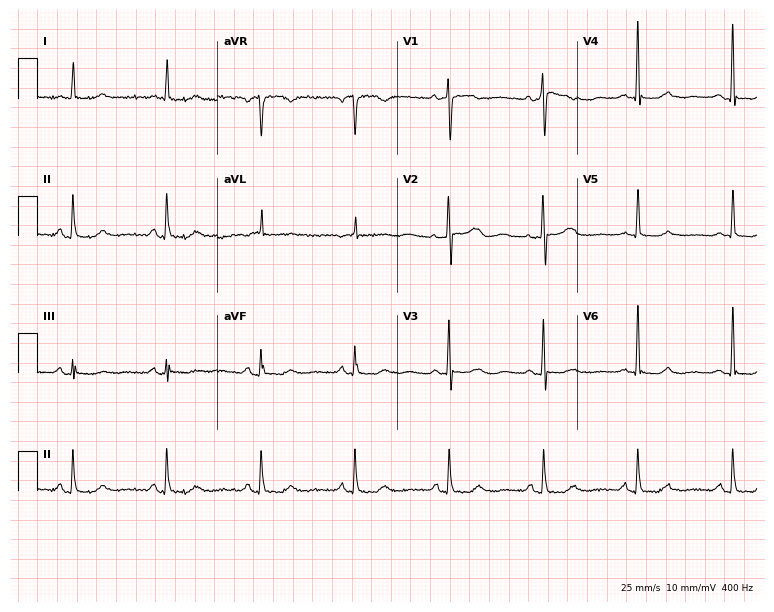
Standard 12-lead ECG recorded from an 85-year-old female (7.3-second recording at 400 Hz). None of these six findings is recorded: first-degree AV block, right bundle branch block, left bundle branch block, sinus bradycardia, atrial fibrillation, sinus tachycardia.